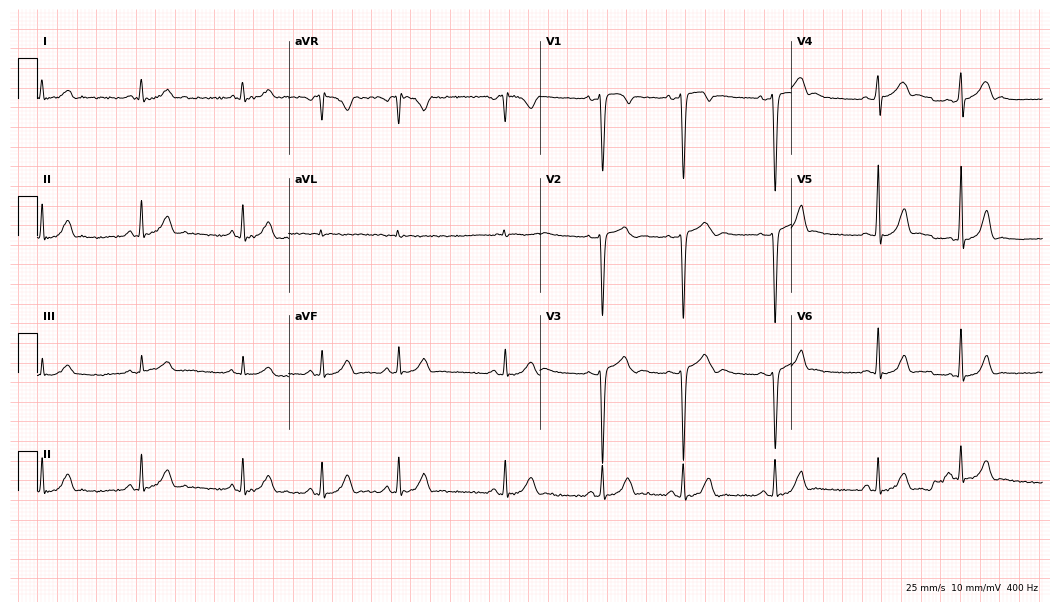
12-lead ECG (10.2-second recording at 400 Hz) from a man, 17 years old. Labelled as a normal ECG.